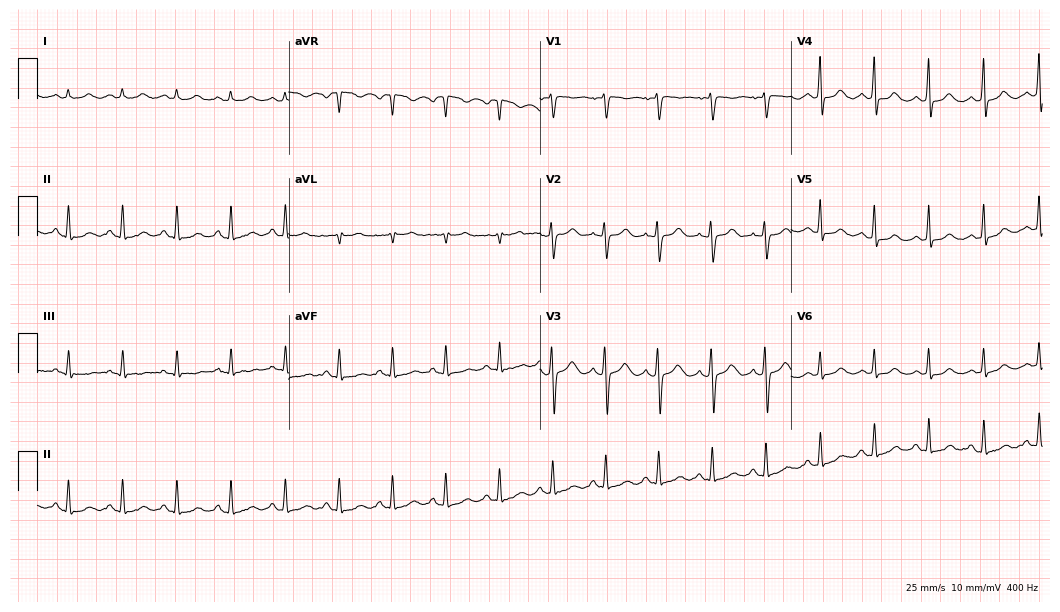
12-lead ECG from a female patient, 31 years old. Findings include sinus tachycardia (a sinus rate of 100 beats per minute or more).